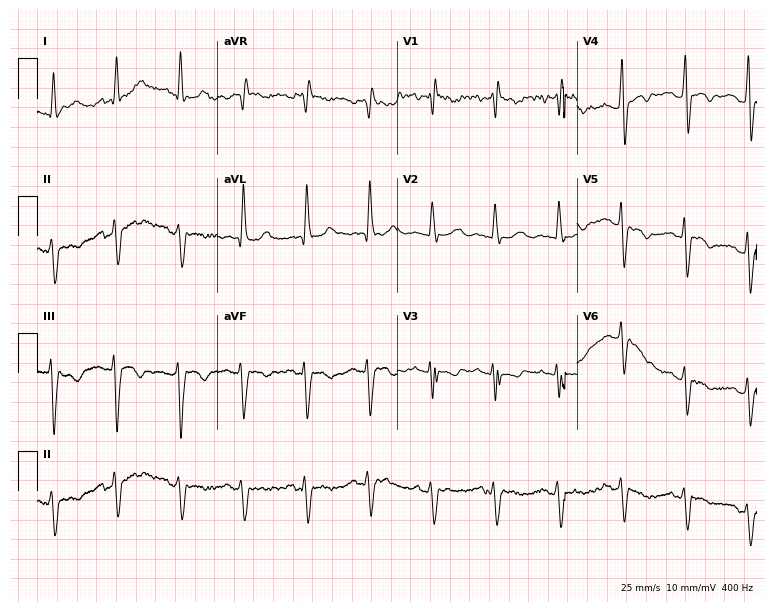
12-lead ECG from an 84-year-old woman. Screened for six findings — first-degree AV block, right bundle branch block, left bundle branch block, sinus bradycardia, atrial fibrillation, sinus tachycardia — none is recorded.